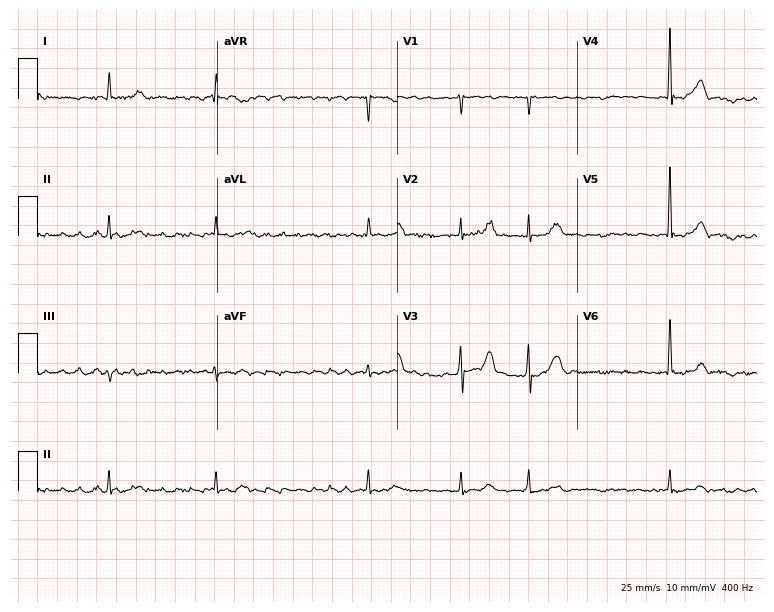
Electrocardiogram (7.3-second recording at 400 Hz), an 84-year-old man. Interpretation includes atrial fibrillation.